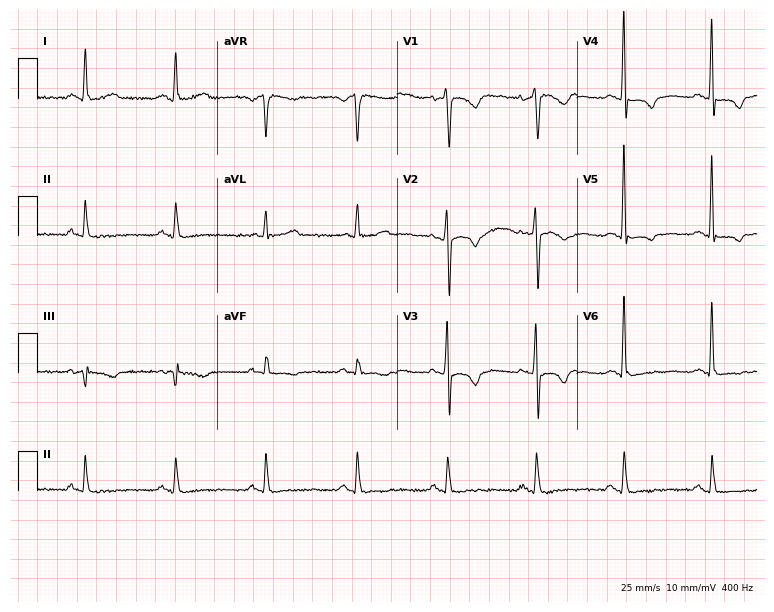
12-lead ECG from a male patient, 55 years old. No first-degree AV block, right bundle branch block, left bundle branch block, sinus bradycardia, atrial fibrillation or sinus tachycardia recorded for this tracing. Other findings, if any, are not listed.